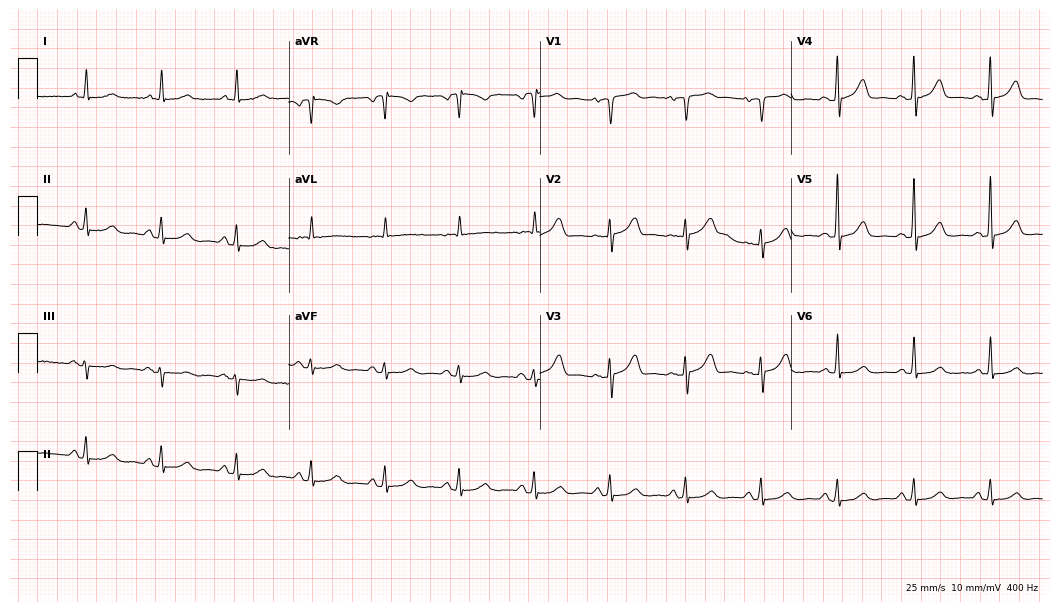
Standard 12-lead ECG recorded from a female, 69 years old. Read as a normal ECG.